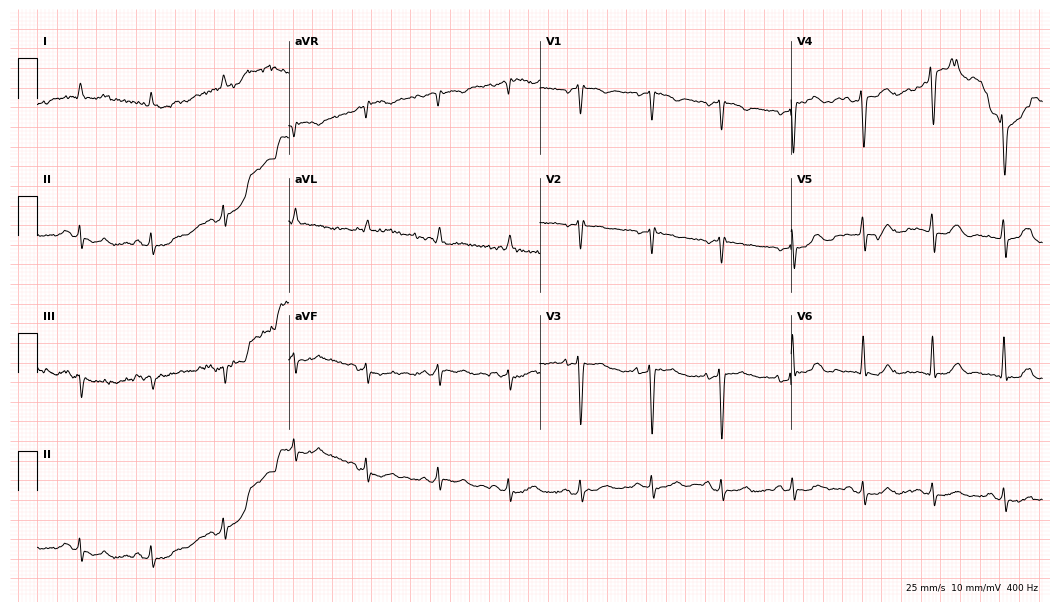
Electrocardiogram, a male patient, 69 years old. Of the six screened findings (first-degree AV block, right bundle branch block, left bundle branch block, sinus bradycardia, atrial fibrillation, sinus tachycardia), none is recorded.